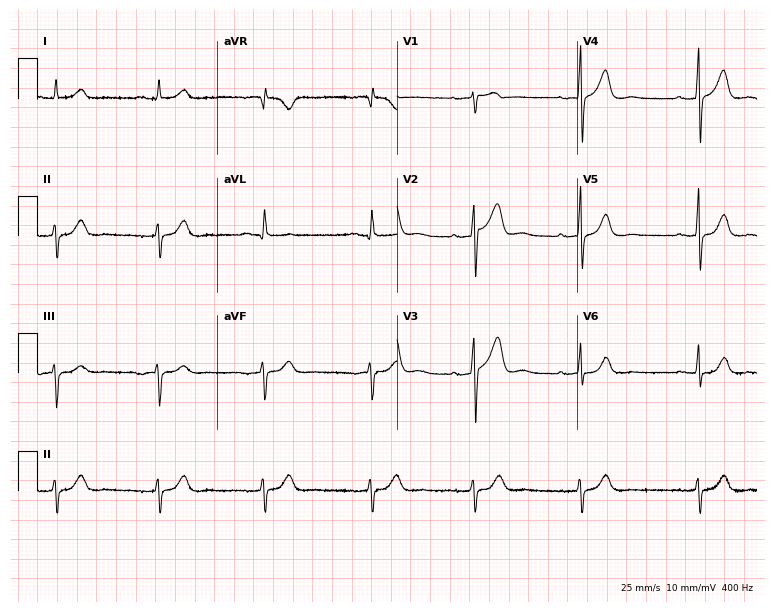
Electrocardiogram, a male, 71 years old. Of the six screened findings (first-degree AV block, right bundle branch block (RBBB), left bundle branch block (LBBB), sinus bradycardia, atrial fibrillation (AF), sinus tachycardia), none is recorded. Findings outside these six are not listed.